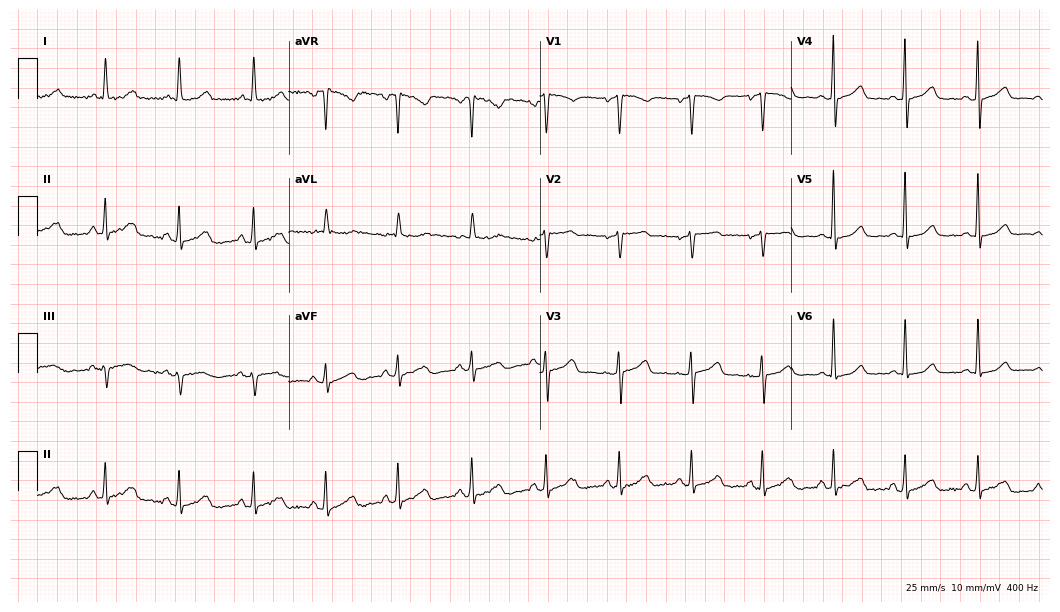
Standard 12-lead ECG recorded from a 54-year-old female patient. Read as a normal ECG.